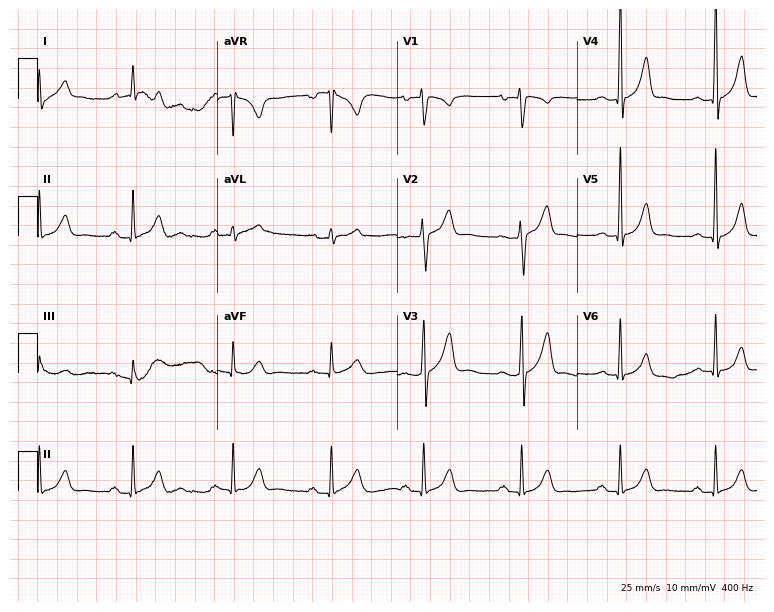
12-lead ECG from a man, 36 years old. Recorded interpretation: within normal limits.